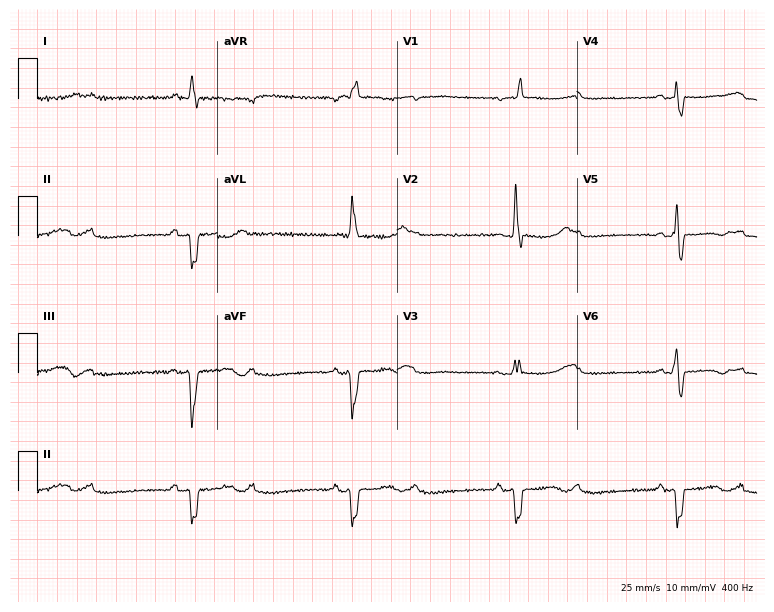
Resting 12-lead electrocardiogram (7.3-second recording at 400 Hz). Patient: a 64-year-old female. None of these six findings is recorded: first-degree AV block, right bundle branch block, left bundle branch block, sinus bradycardia, atrial fibrillation, sinus tachycardia.